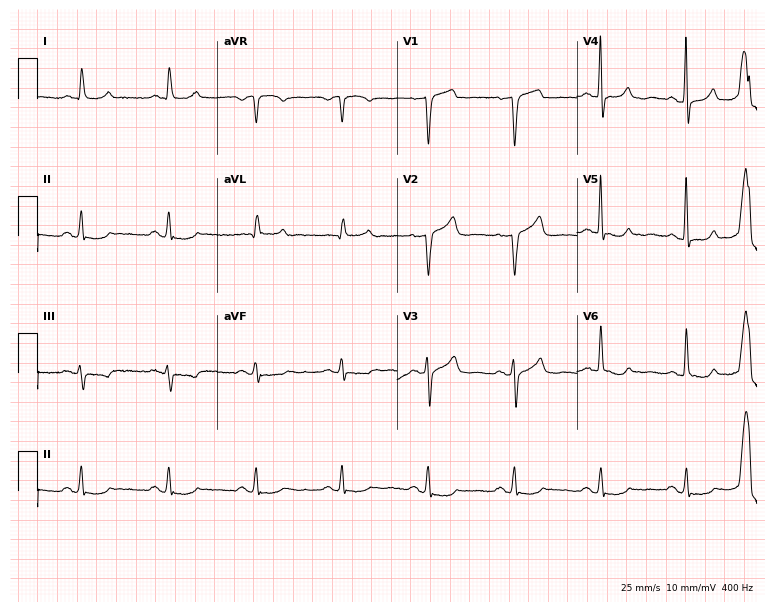
Electrocardiogram, a male patient, 62 years old. Of the six screened findings (first-degree AV block, right bundle branch block, left bundle branch block, sinus bradycardia, atrial fibrillation, sinus tachycardia), none is recorded. Findings outside these six are not listed.